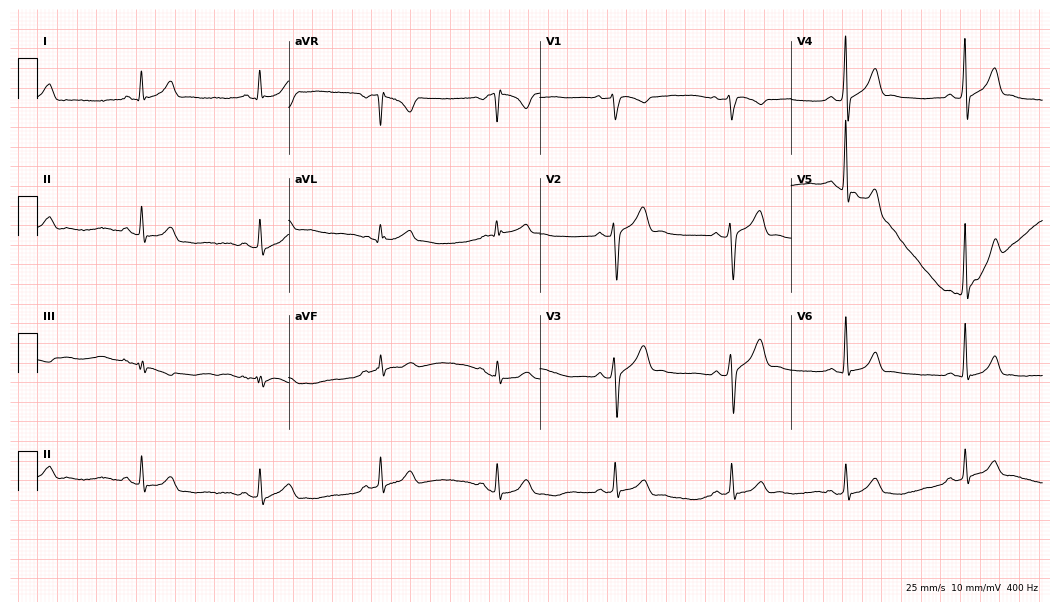
Resting 12-lead electrocardiogram (10.2-second recording at 400 Hz). Patient: a male, 38 years old. Read as a normal ECG.